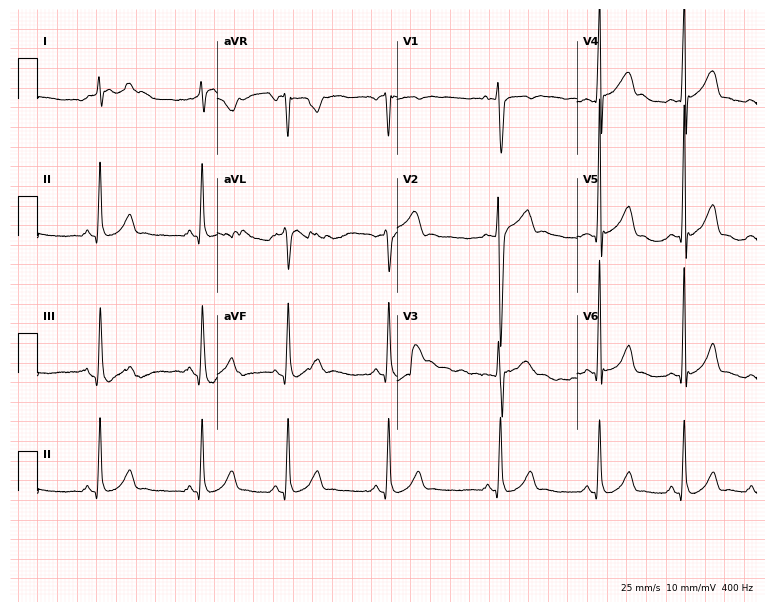
12-lead ECG (7.3-second recording at 400 Hz) from a 21-year-old man. Labelled as a normal ECG.